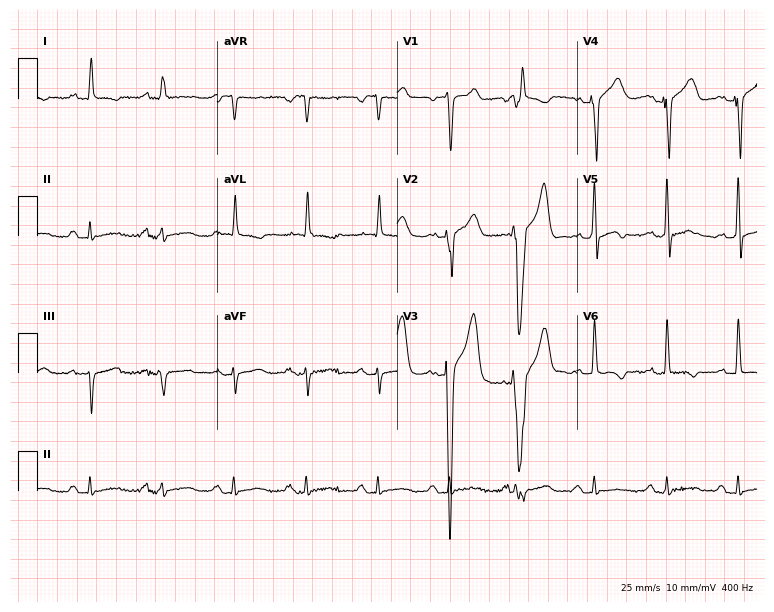
12-lead ECG from a 58-year-old male (7.3-second recording at 400 Hz). No first-degree AV block, right bundle branch block, left bundle branch block, sinus bradycardia, atrial fibrillation or sinus tachycardia recorded for this tracing. Only these six findings were labelled.